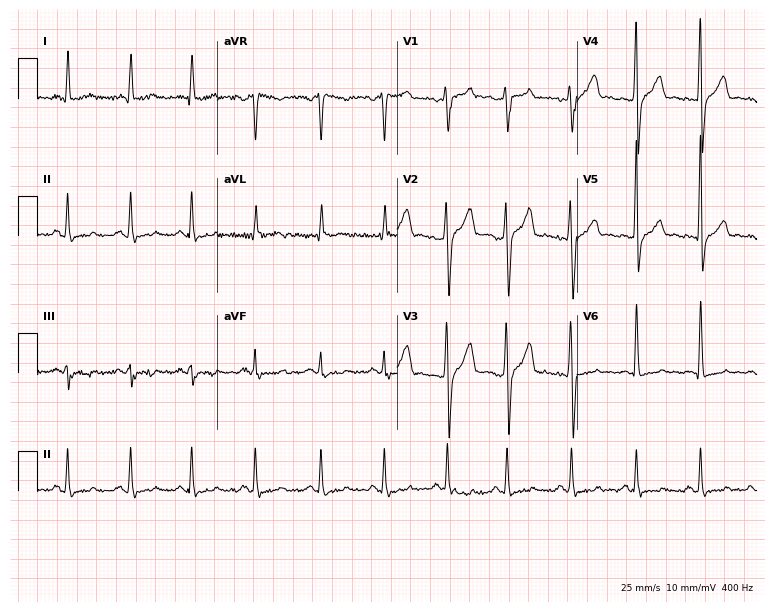
ECG — a 30-year-old male. Screened for six findings — first-degree AV block, right bundle branch block (RBBB), left bundle branch block (LBBB), sinus bradycardia, atrial fibrillation (AF), sinus tachycardia — none is recorded.